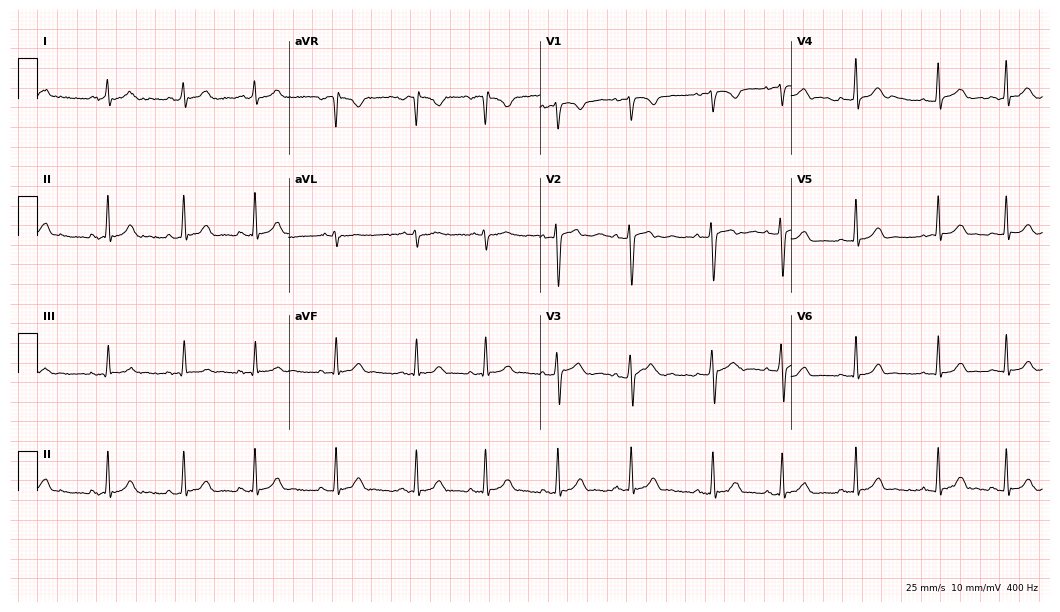
Electrocardiogram (10.2-second recording at 400 Hz), a female, 18 years old. Overall reading on record: normal ECG.